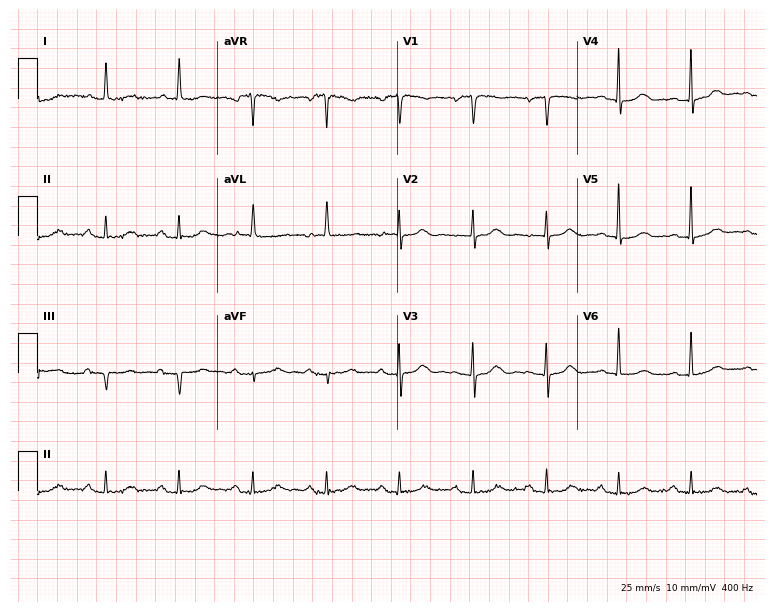
Electrocardiogram (7.3-second recording at 400 Hz), an 82-year-old female. Overall reading on record: normal ECG.